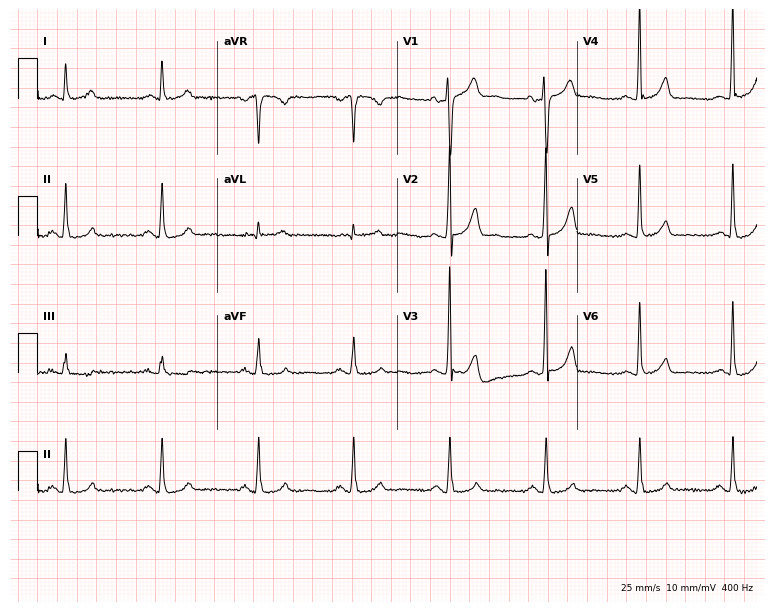
Standard 12-lead ECG recorded from a 61-year-old male. Read as a normal ECG.